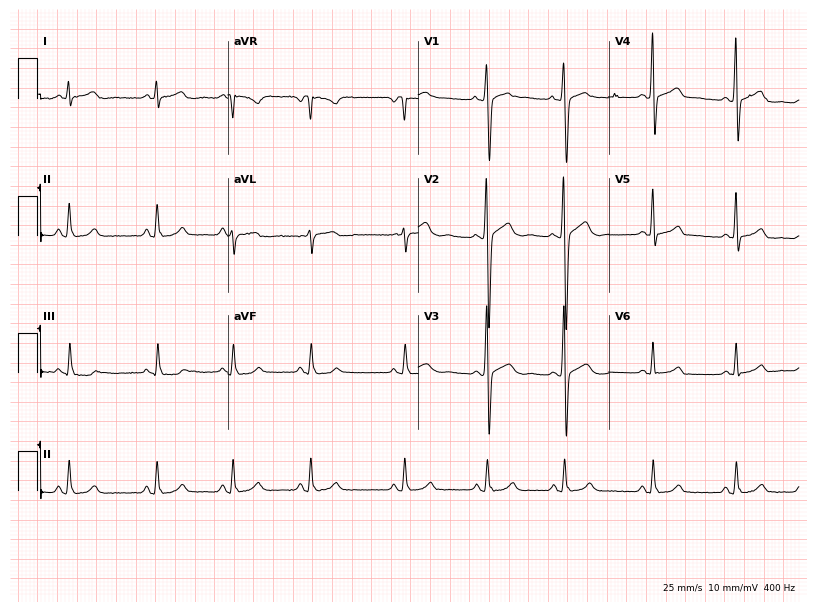
Standard 12-lead ECG recorded from a man, 25 years old. None of these six findings is recorded: first-degree AV block, right bundle branch block, left bundle branch block, sinus bradycardia, atrial fibrillation, sinus tachycardia.